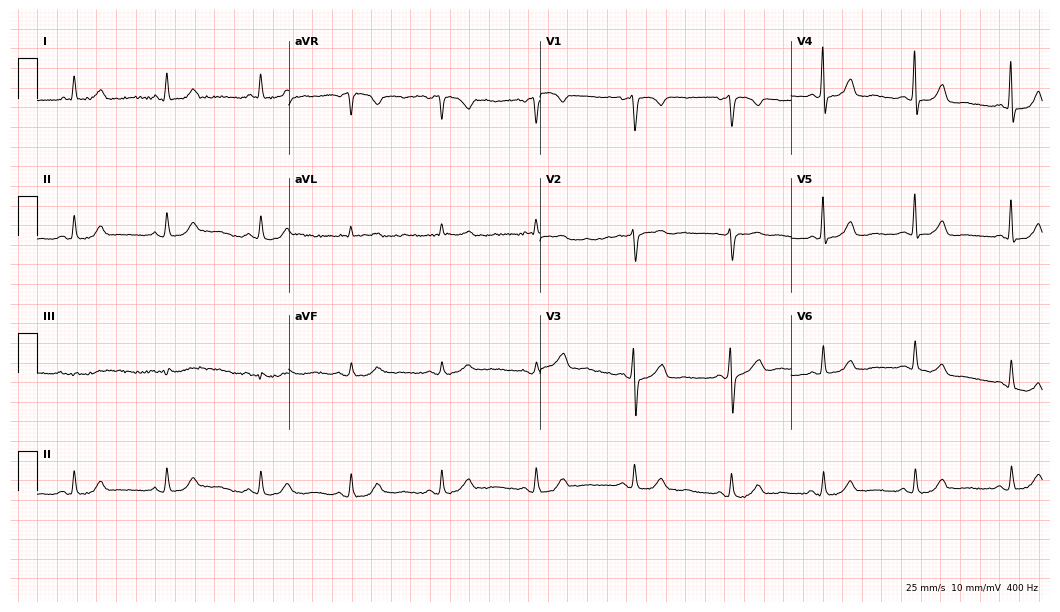
Electrocardiogram (10.2-second recording at 400 Hz), a 51-year-old female. Overall reading on record: normal ECG.